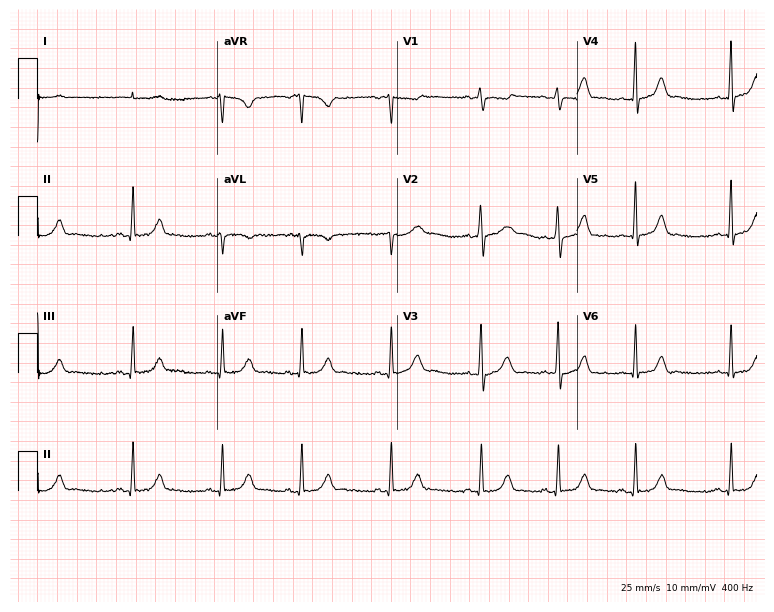
Resting 12-lead electrocardiogram (7.3-second recording at 400 Hz). Patient: a 24-year-old female. Read as a normal ECG.